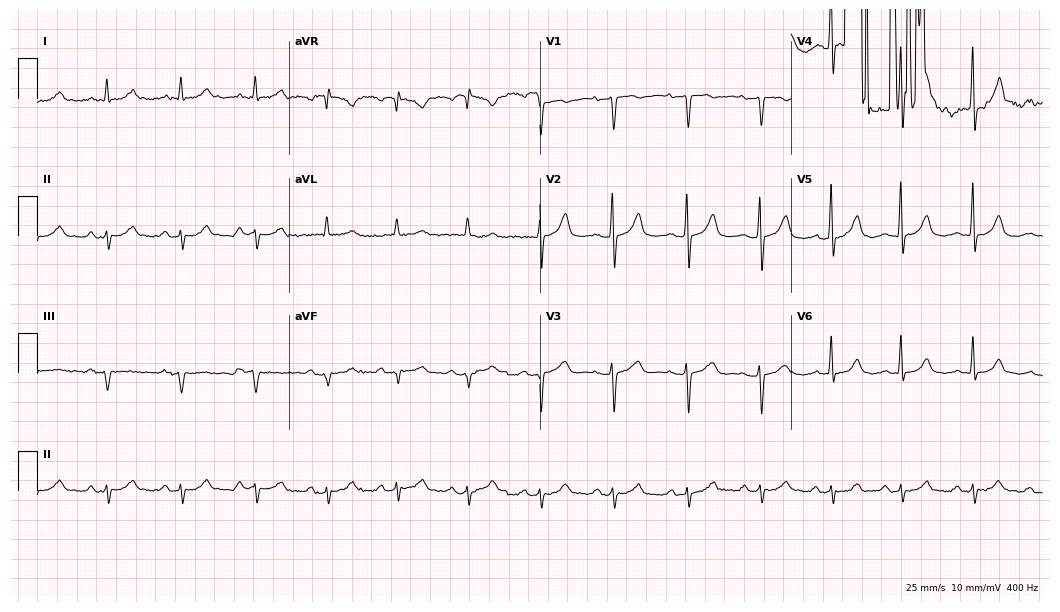
12-lead ECG from an 81-year-old woman (10.2-second recording at 400 Hz). No first-degree AV block, right bundle branch block (RBBB), left bundle branch block (LBBB), sinus bradycardia, atrial fibrillation (AF) or sinus tachycardia recorded for this tracing. Findings outside these six are not listed.